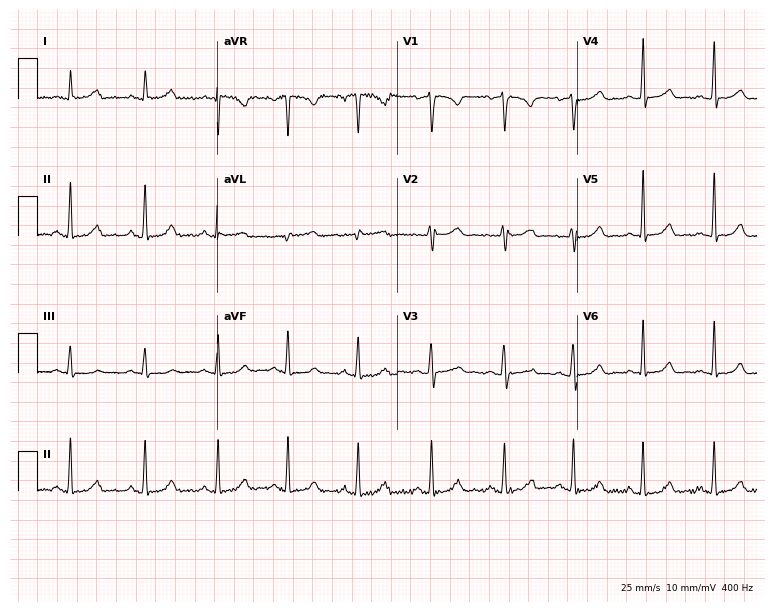
Resting 12-lead electrocardiogram (7.3-second recording at 400 Hz). Patient: a 26-year-old female. Read as a normal ECG.